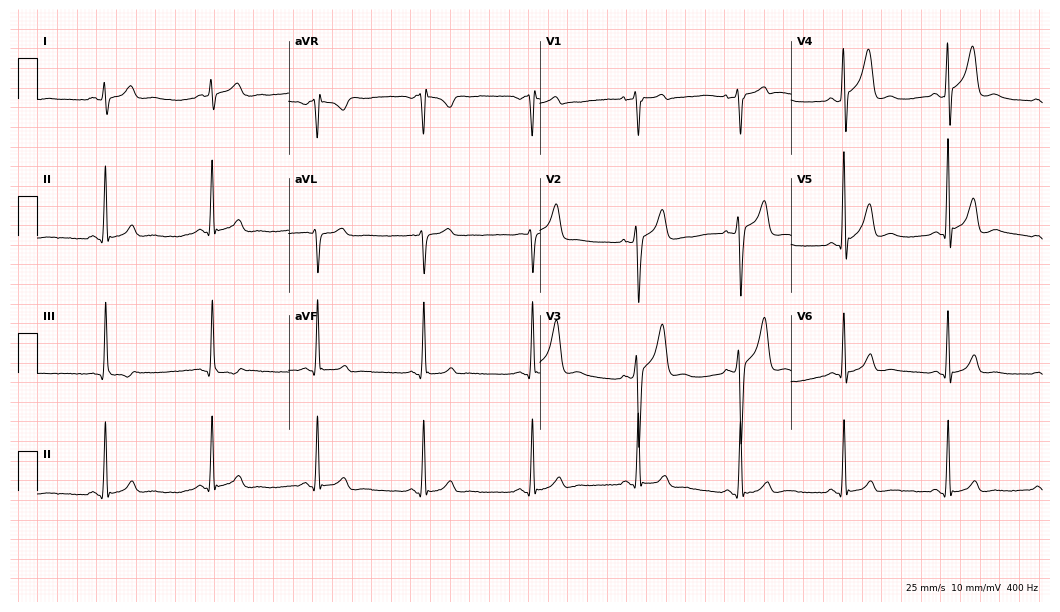
12-lead ECG from a male patient, 21 years old. No first-degree AV block, right bundle branch block (RBBB), left bundle branch block (LBBB), sinus bradycardia, atrial fibrillation (AF) or sinus tachycardia recorded for this tracing.